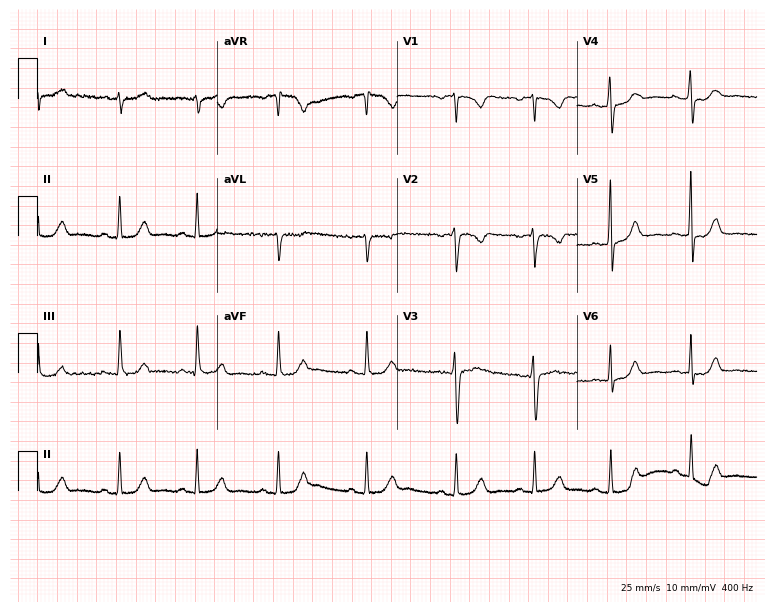
Electrocardiogram (7.3-second recording at 400 Hz), a 31-year-old woman. Of the six screened findings (first-degree AV block, right bundle branch block (RBBB), left bundle branch block (LBBB), sinus bradycardia, atrial fibrillation (AF), sinus tachycardia), none is recorded.